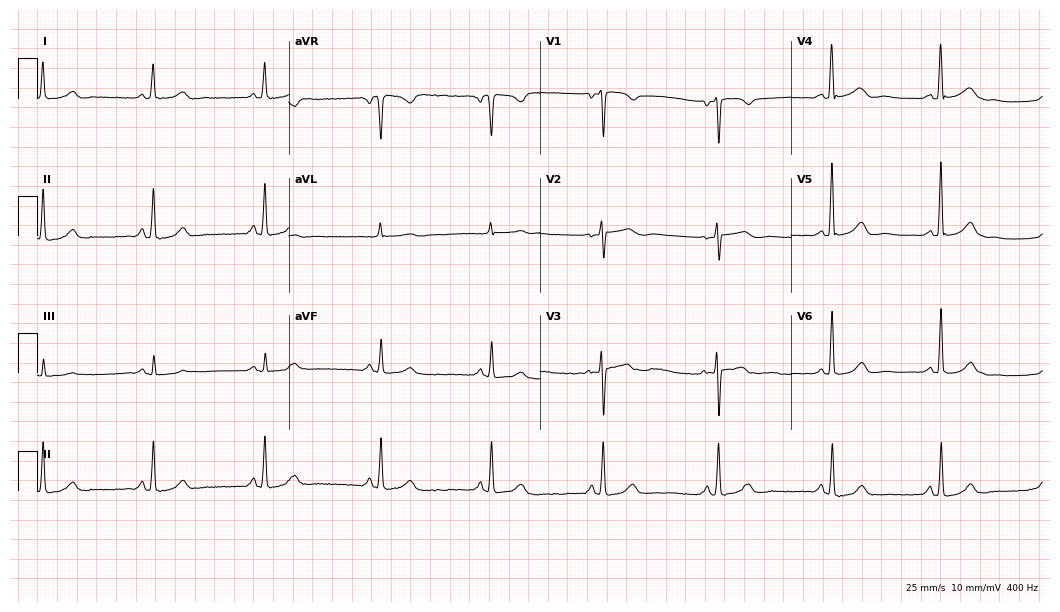
Electrocardiogram, a female, 55 years old. Overall reading on record: normal ECG.